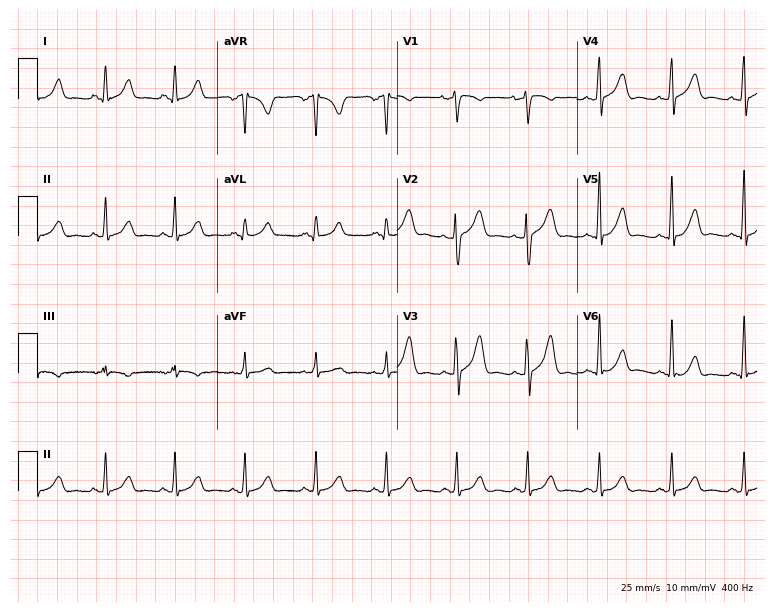
Resting 12-lead electrocardiogram (7.3-second recording at 400 Hz). Patient: a 32-year-old female. Read as a normal ECG.